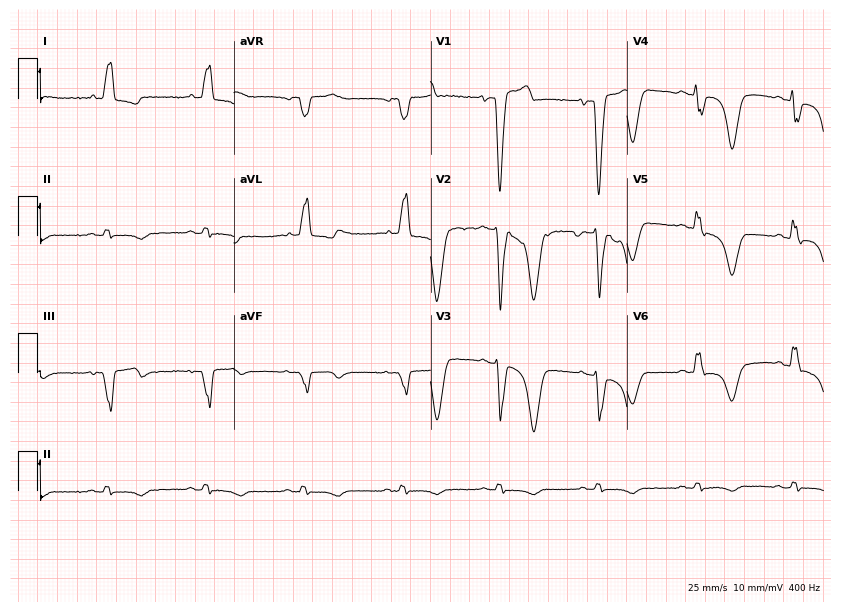
Electrocardiogram, a 68-year-old female. Interpretation includes left bundle branch block (LBBB).